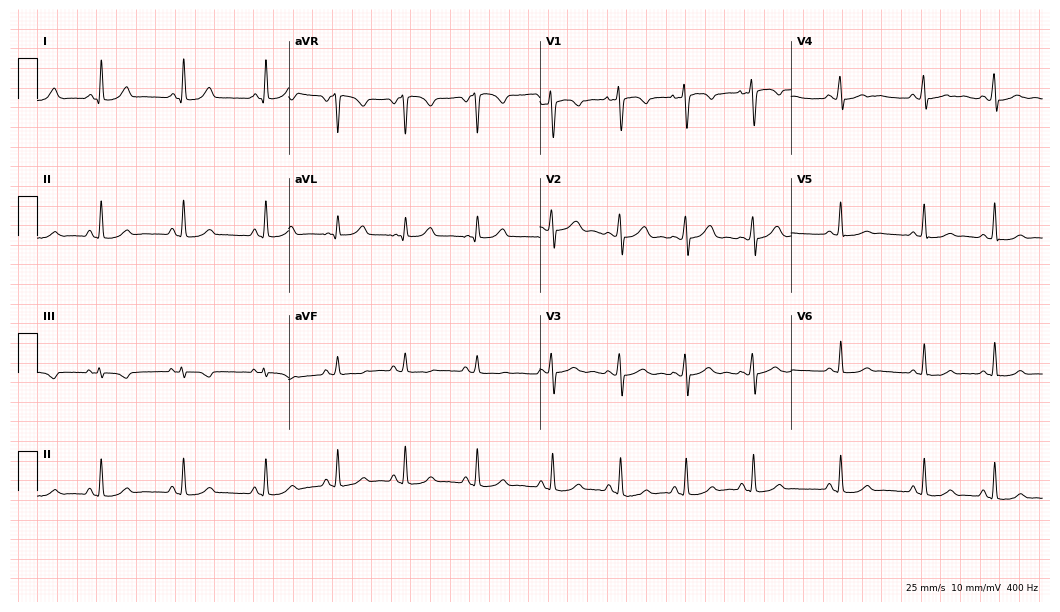
Standard 12-lead ECG recorded from a 21-year-old woman (10.2-second recording at 400 Hz). Read as a normal ECG.